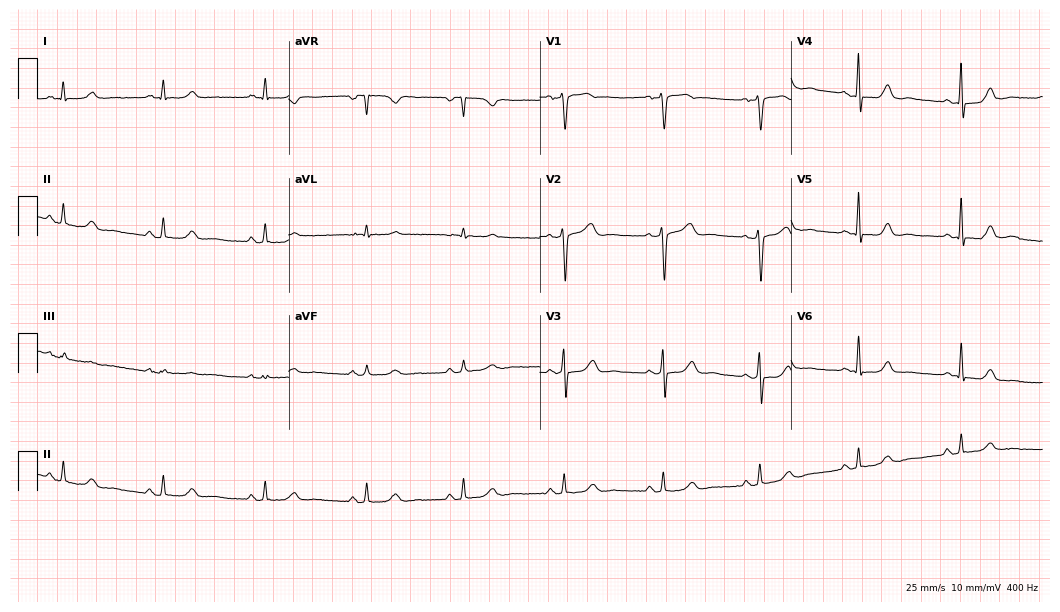
ECG — a 65-year-old female. Labelled as a normal ECG.